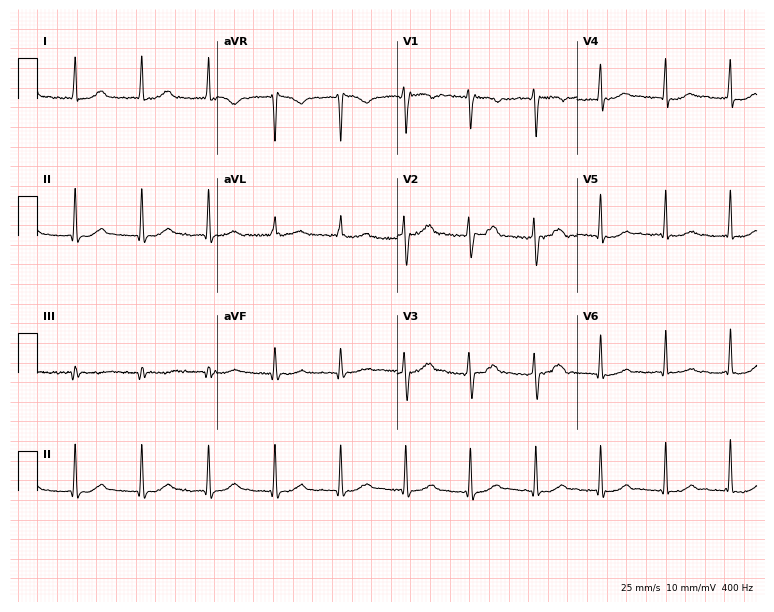
12-lead ECG from a 25-year-old female patient. Labelled as a normal ECG.